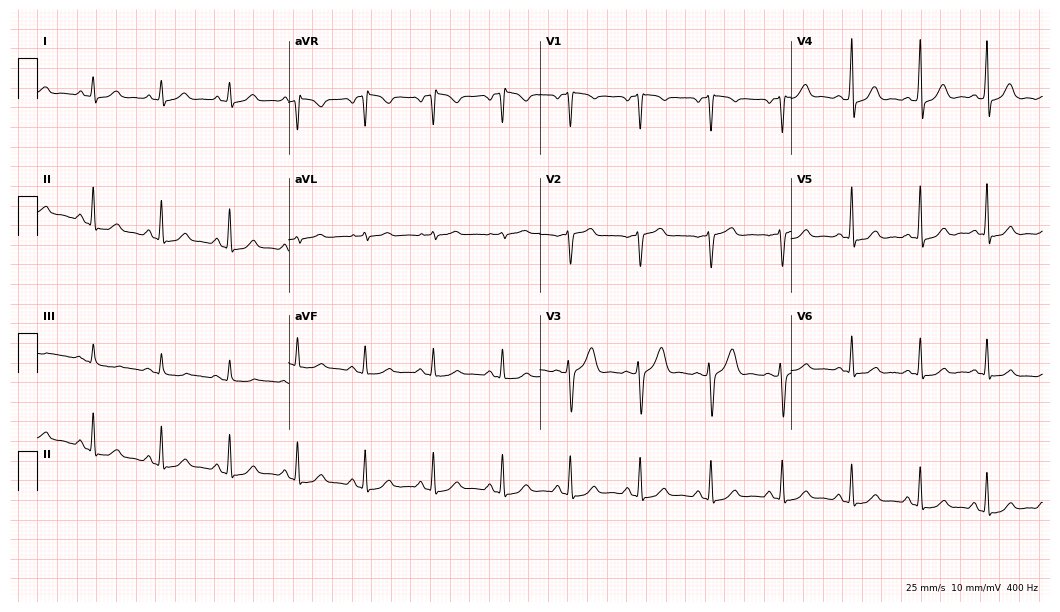
12-lead ECG from a male patient, 46 years old (10.2-second recording at 400 Hz). Recorded interpretation: within normal limits.